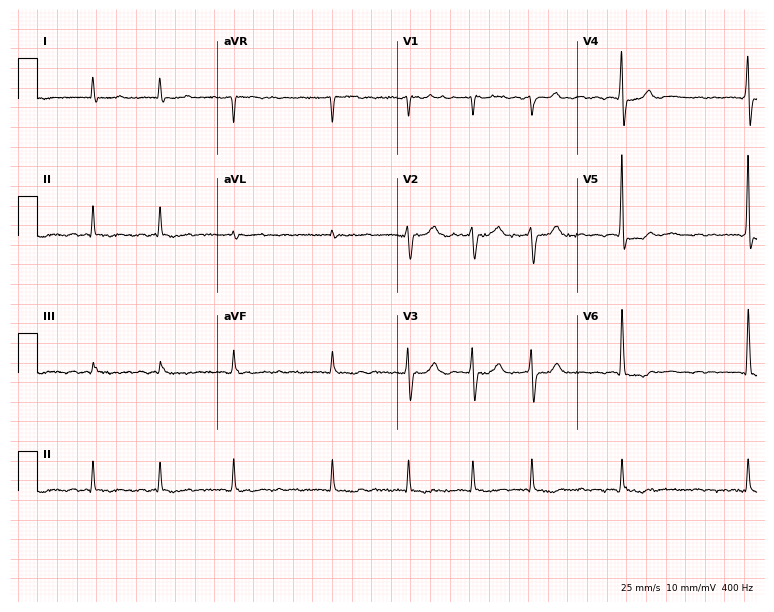
12-lead ECG from a 70-year-old male. Screened for six findings — first-degree AV block, right bundle branch block, left bundle branch block, sinus bradycardia, atrial fibrillation, sinus tachycardia — none is recorded.